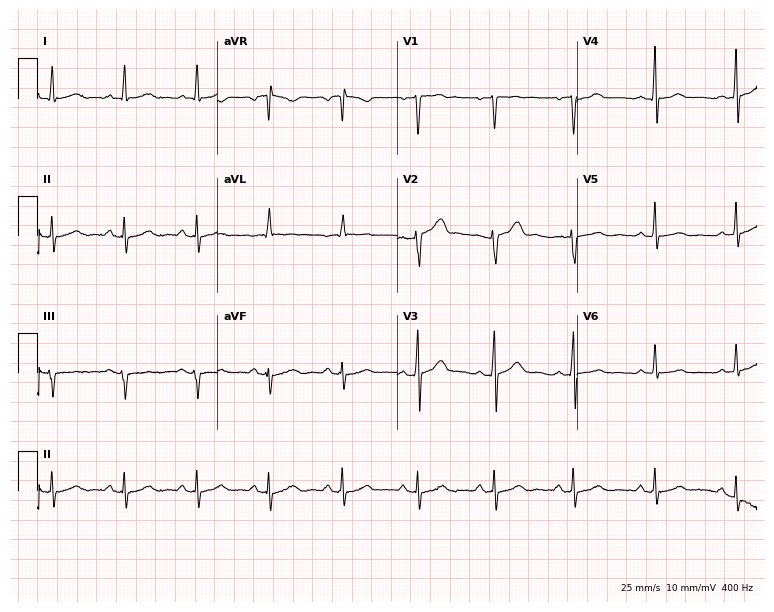
ECG (7.3-second recording at 400 Hz) — a 54-year-old male patient. Screened for six findings — first-degree AV block, right bundle branch block, left bundle branch block, sinus bradycardia, atrial fibrillation, sinus tachycardia — none is recorded.